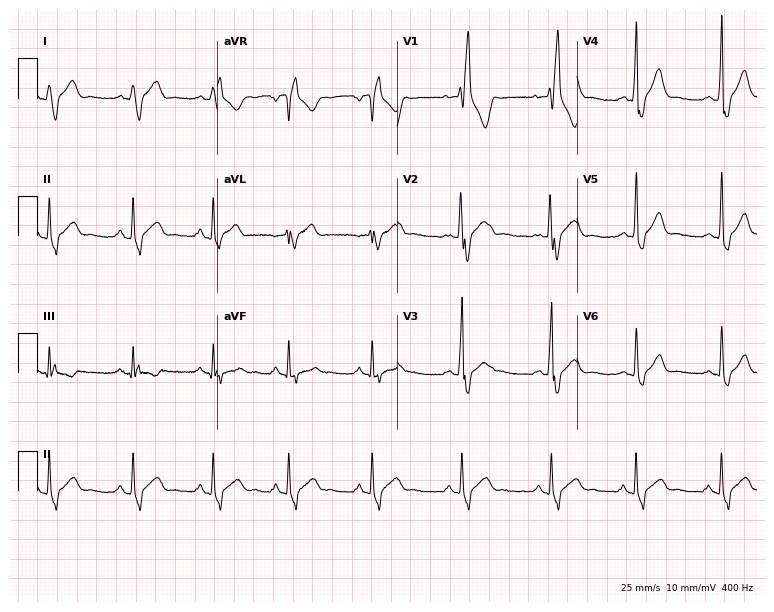
Electrocardiogram (7.3-second recording at 400 Hz), a 21-year-old male. Interpretation includes right bundle branch block.